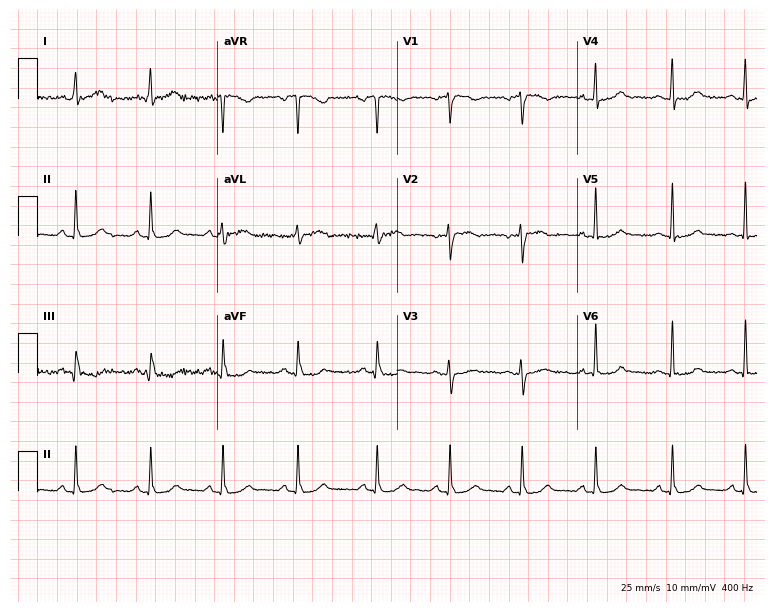
12-lead ECG from a female, 49 years old. Recorded interpretation: within normal limits.